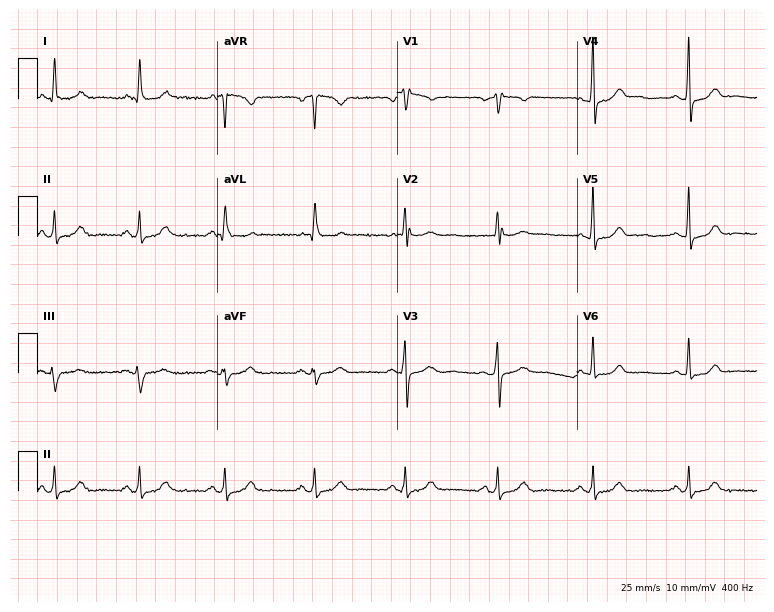
Resting 12-lead electrocardiogram (7.3-second recording at 400 Hz). Patient: a 62-year-old woman. None of these six findings is recorded: first-degree AV block, right bundle branch block, left bundle branch block, sinus bradycardia, atrial fibrillation, sinus tachycardia.